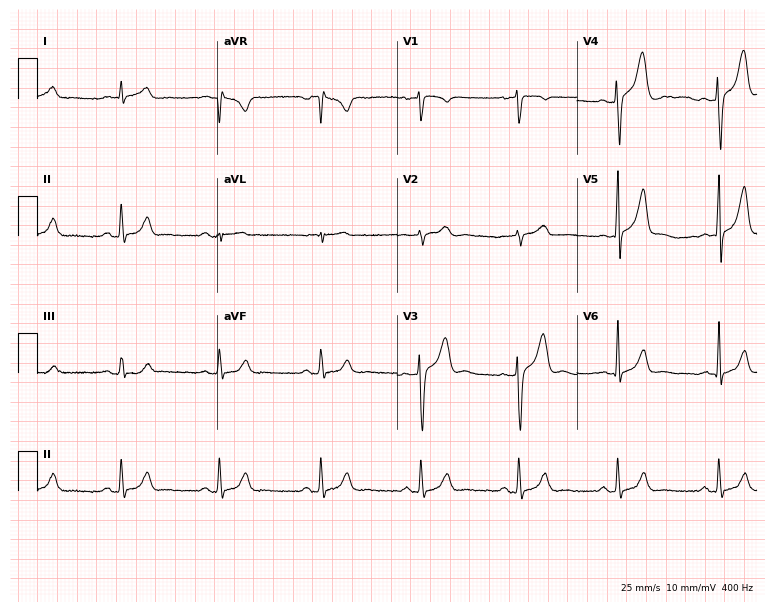
Resting 12-lead electrocardiogram. Patient: a 38-year-old man. Read as a normal ECG.